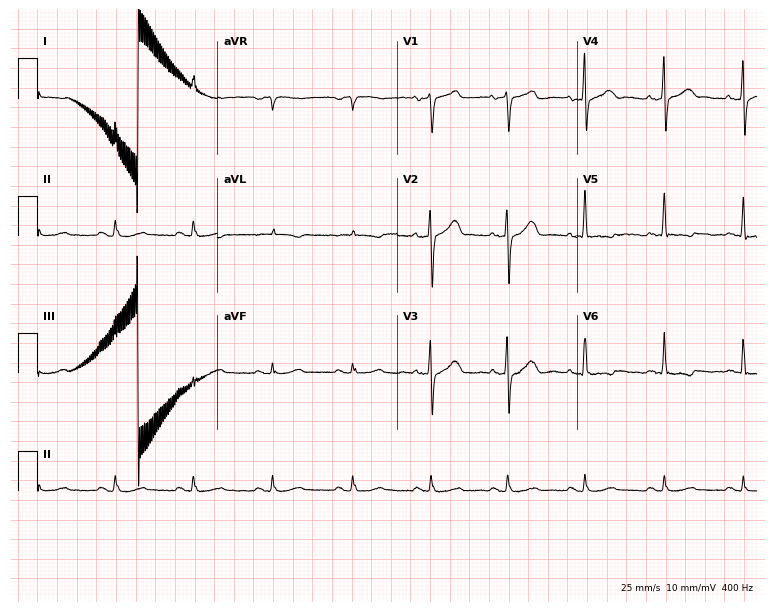
Standard 12-lead ECG recorded from a 56-year-old male. None of these six findings is recorded: first-degree AV block, right bundle branch block (RBBB), left bundle branch block (LBBB), sinus bradycardia, atrial fibrillation (AF), sinus tachycardia.